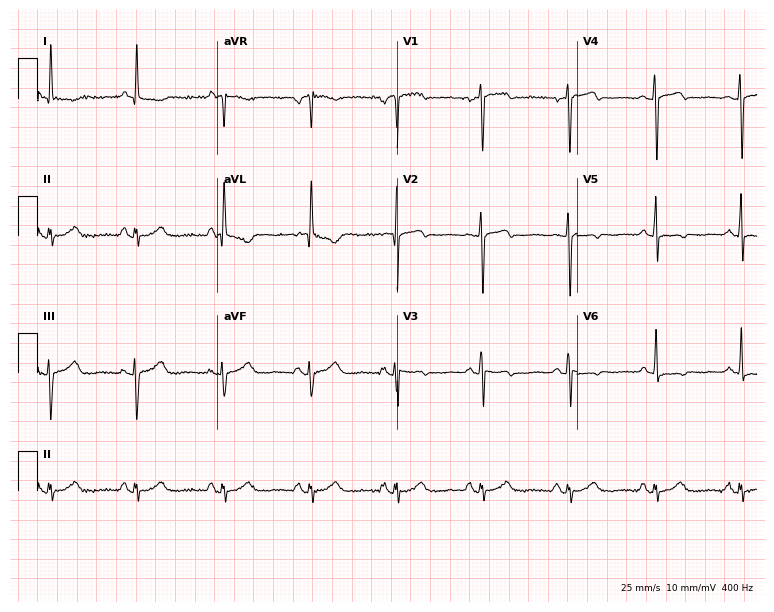
ECG — a 68-year-old female patient. Screened for six findings — first-degree AV block, right bundle branch block, left bundle branch block, sinus bradycardia, atrial fibrillation, sinus tachycardia — none is recorded. Other findings, if any, are not listed.